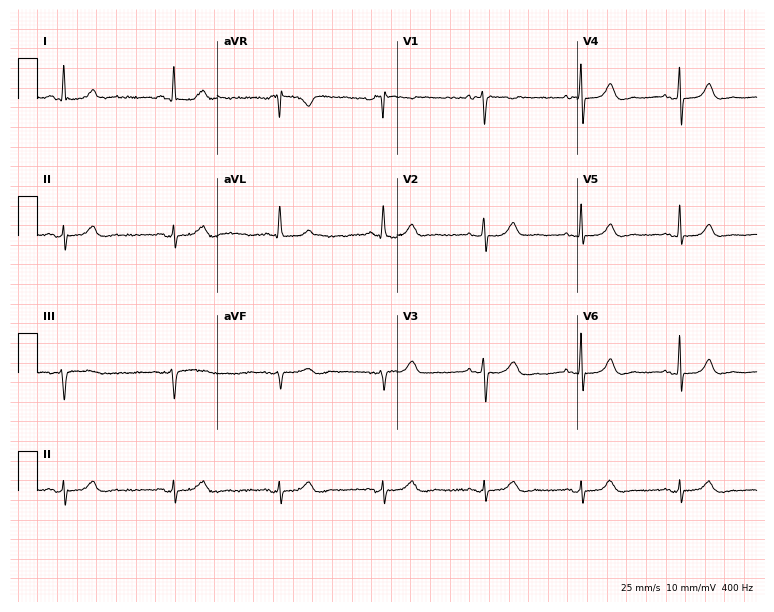
12-lead ECG from a female, 77 years old. Labelled as a normal ECG.